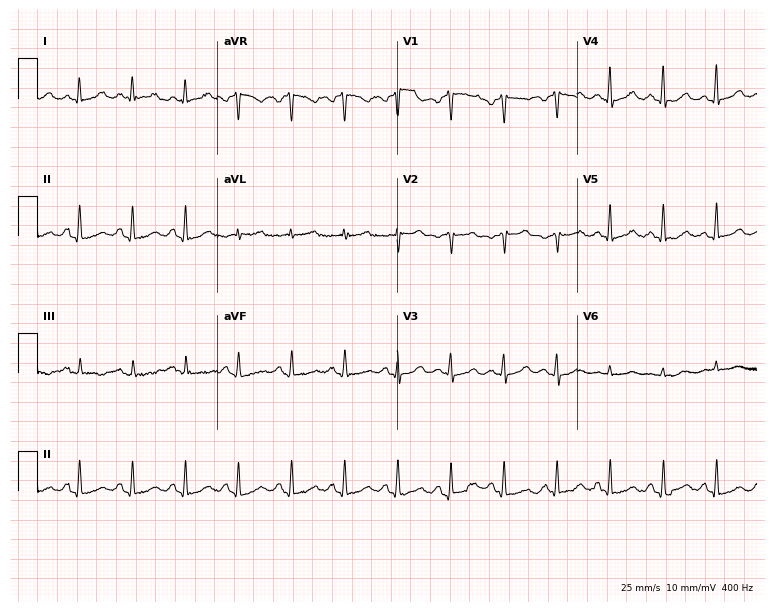
12-lead ECG from a 58-year-old woman. Findings include sinus tachycardia (a sinus rate of 100 beats per minute or more).